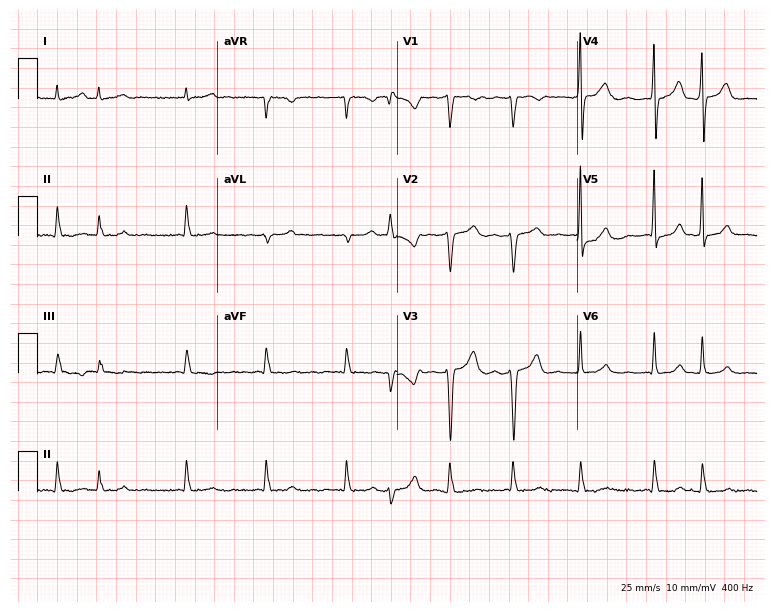
Resting 12-lead electrocardiogram. Patient: a male, 68 years old. The tracing shows atrial fibrillation.